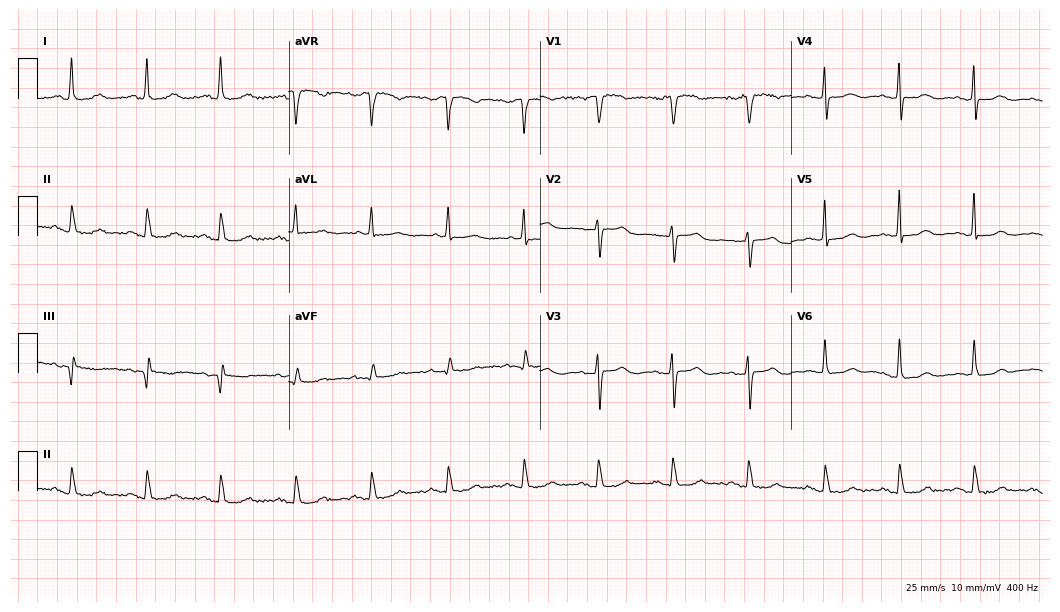
ECG — a 76-year-old woman. Screened for six findings — first-degree AV block, right bundle branch block, left bundle branch block, sinus bradycardia, atrial fibrillation, sinus tachycardia — none is recorded. Only these six findings were labelled.